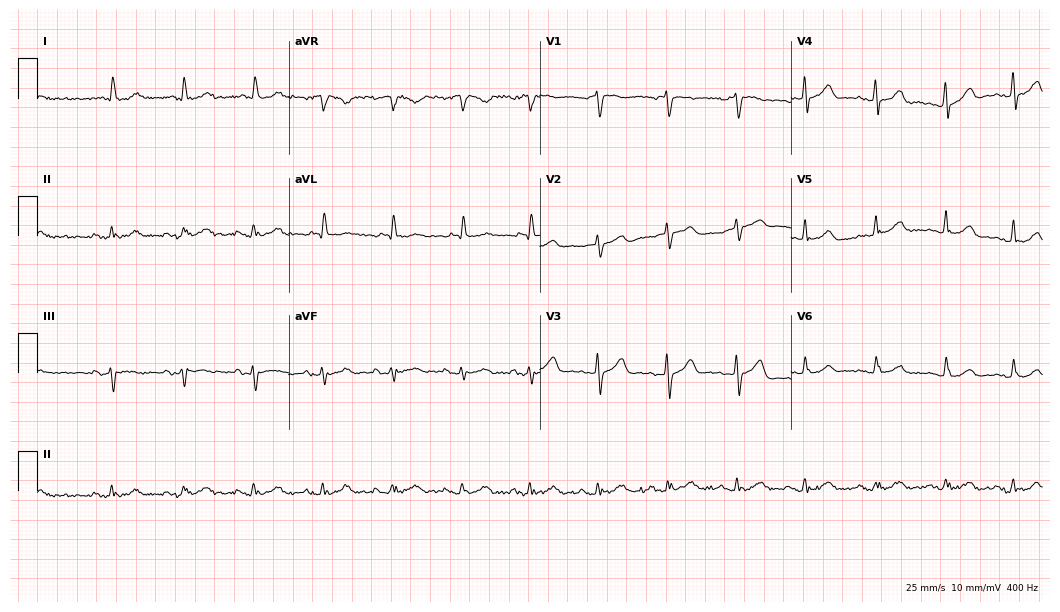
Resting 12-lead electrocardiogram (10.2-second recording at 400 Hz). Patient: a 79-year-old man. Read as a normal ECG.